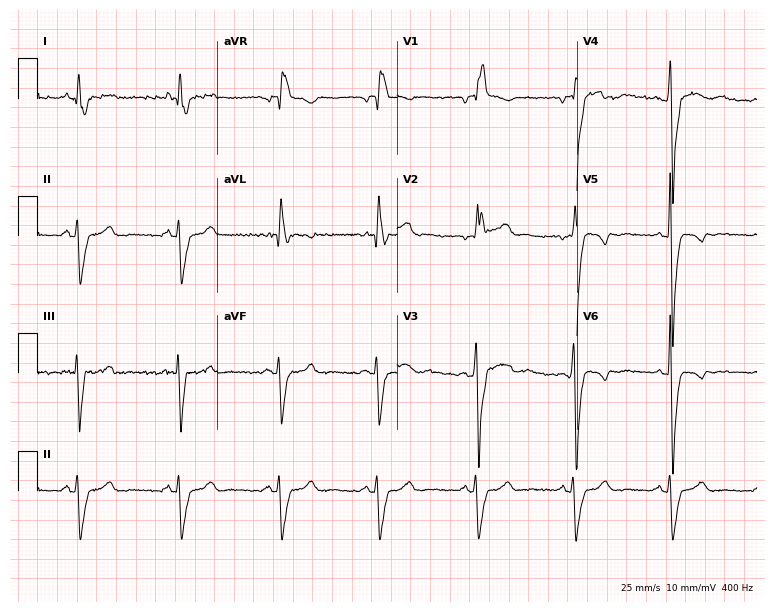
12-lead ECG from a 55-year-old man. Findings include right bundle branch block (RBBB).